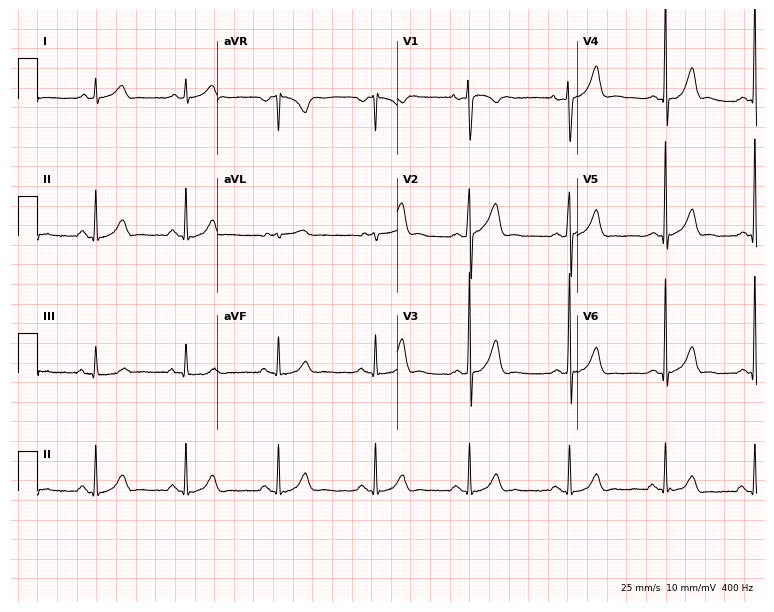
ECG (7.3-second recording at 400 Hz) — a 26-year-old man. Labelled as a normal ECG.